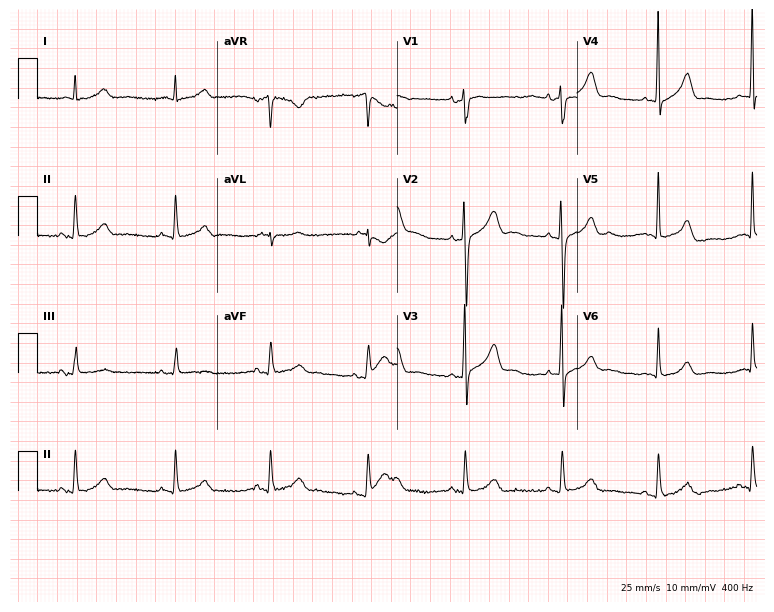
Standard 12-lead ECG recorded from a male patient, 70 years old (7.3-second recording at 400 Hz). Read as a normal ECG.